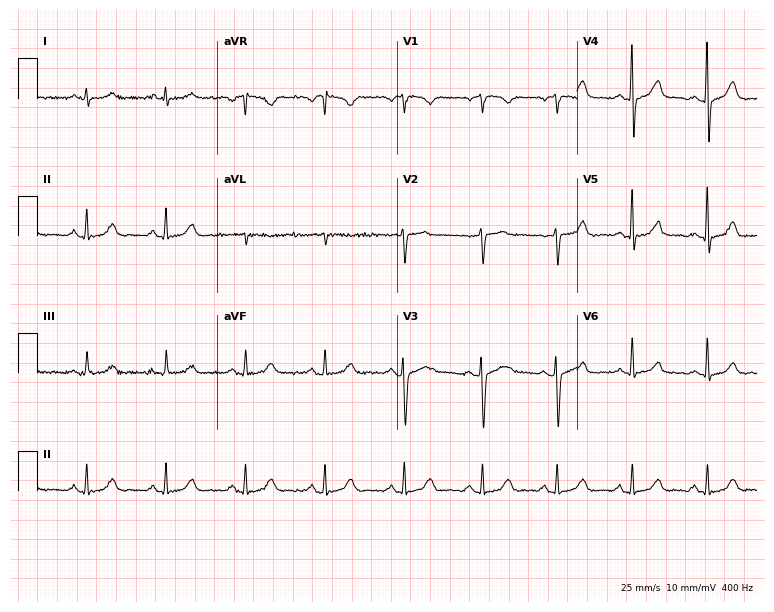
12-lead ECG from a 52-year-old woman (7.3-second recording at 400 Hz). Recorded interpretation: within normal limits.